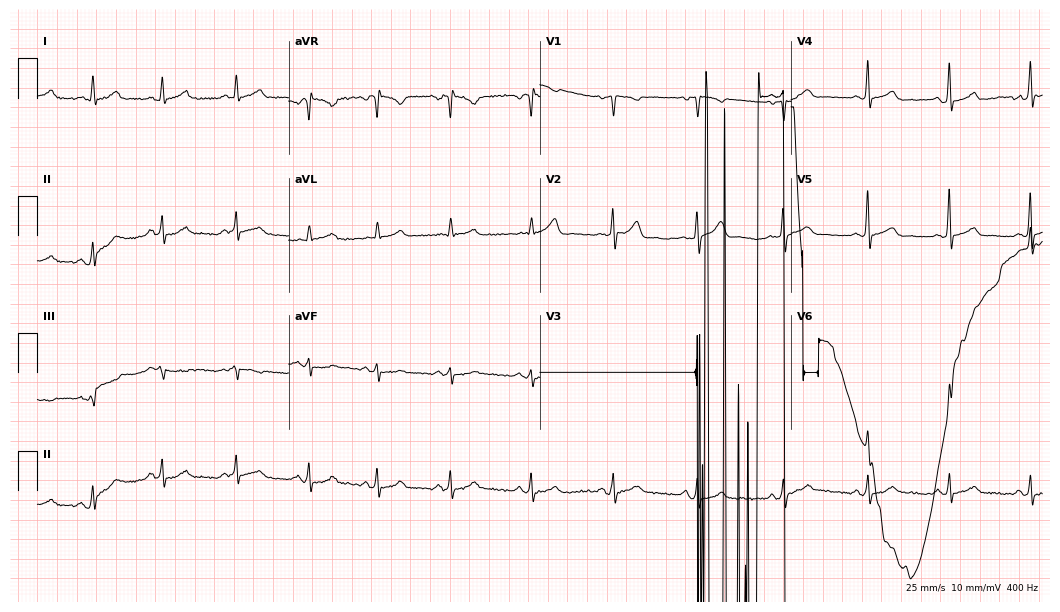
Electrocardiogram, a 43-year-old woman. Of the six screened findings (first-degree AV block, right bundle branch block, left bundle branch block, sinus bradycardia, atrial fibrillation, sinus tachycardia), none is recorded.